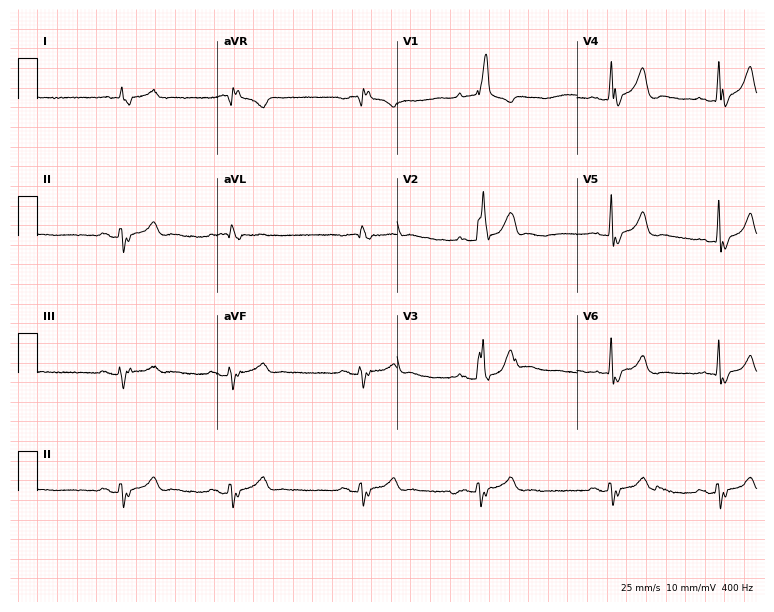
Electrocardiogram (7.3-second recording at 400 Hz), a male patient, 63 years old. Interpretation includes right bundle branch block, sinus bradycardia (a sinus rate of 50 beats per minute or less).